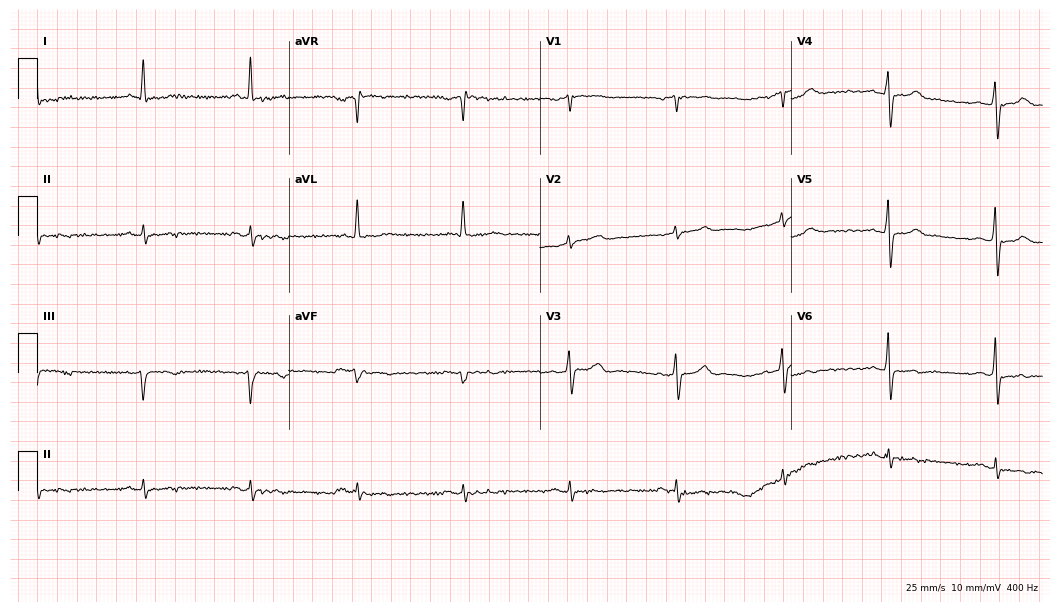
12-lead ECG from a male, 69 years old. Screened for six findings — first-degree AV block, right bundle branch block (RBBB), left bundle branch block (LBBB), sinus bradycardia, atrial fibrillation (AF), sinus tachycardia — none is recorded.